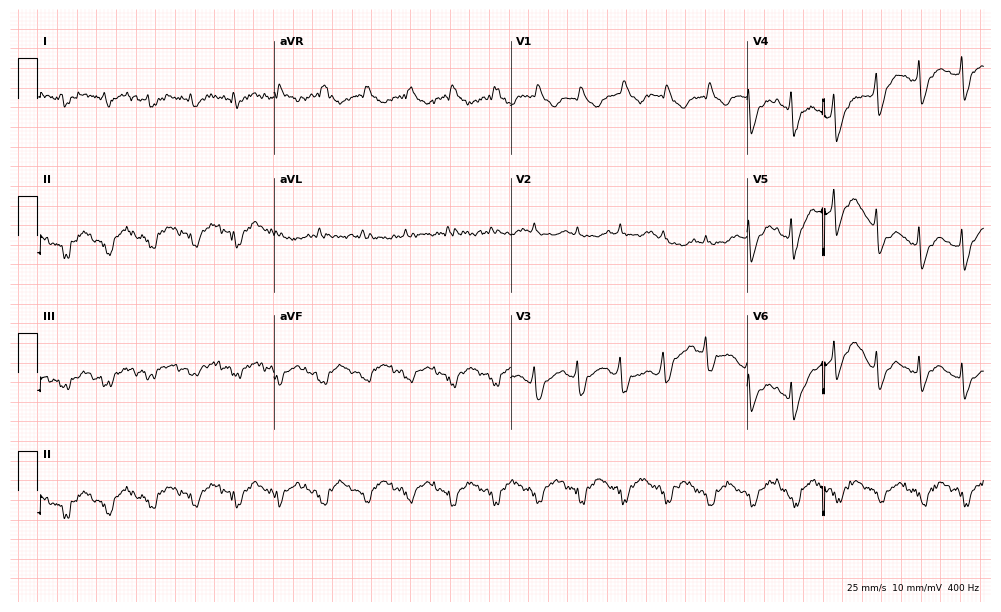
Electrocardiogram (9.6-second recording at 400 Hz), a 78-year-old male. Of the six screened findings (first-degree AV block, right bundle branch block (RBBB), left bundle branch block (LBBB), sinus bradycardia, atrial fibrillation (AF), sinus tachycardia), none is recorded. Only these six findings were labelled.